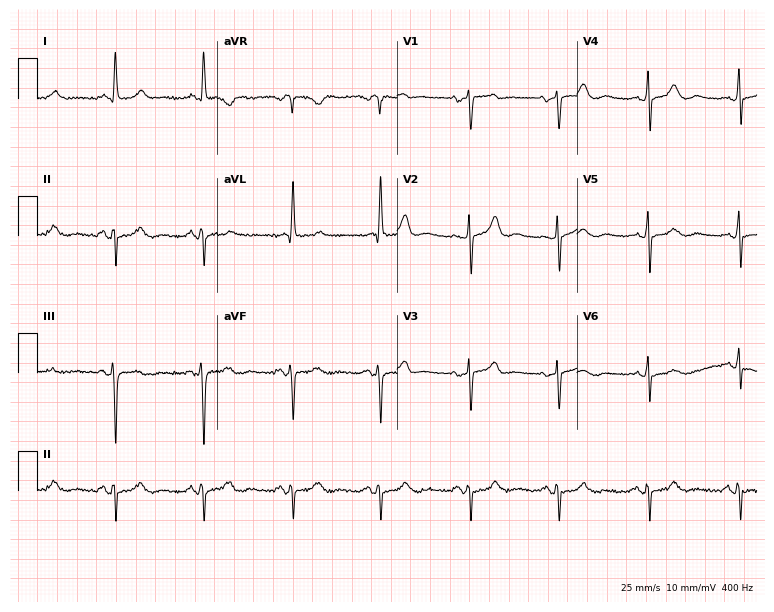
12-lead ECG (7.3-second recording at 400 Hz) from a female, 79 years old. Screened for six findings — first-degree AV block, right bundle branch block, left bundle branch block, sinus bradycardia, atrial fibrillation, sinus tachycardia — none is recorded. Only these six findings were labelled.